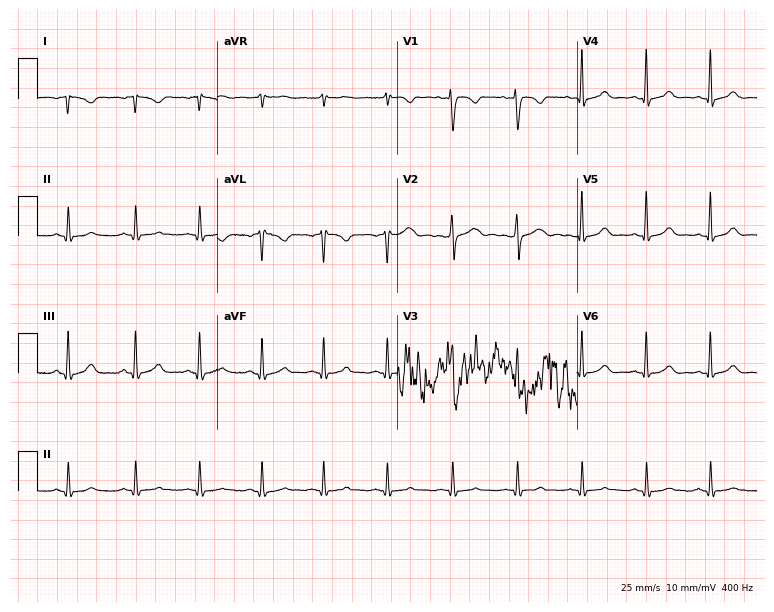
Standard 12-lead ECG recorded from a 22-year-old female patient. None of these six findings is recorded: first-degree AV block, right bundle branch block (RBBB), left bundle branch block (LBBB), sinus bradycardia, atrial fibrillation (AF), sinus tachycardia. Findings outside these six are not listed.